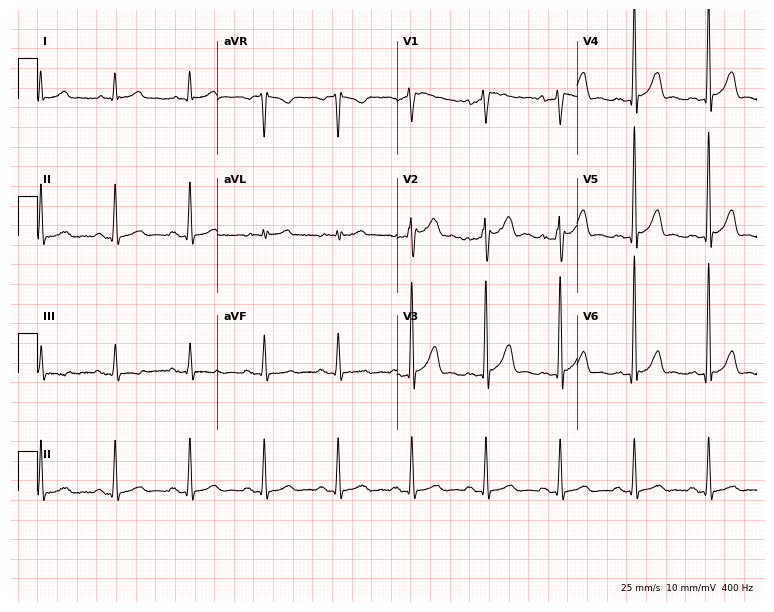
12-lead ECG (7.3-second recording at 400 Hz) from a 73-year-old male patient. Labelled as a normal ECG.